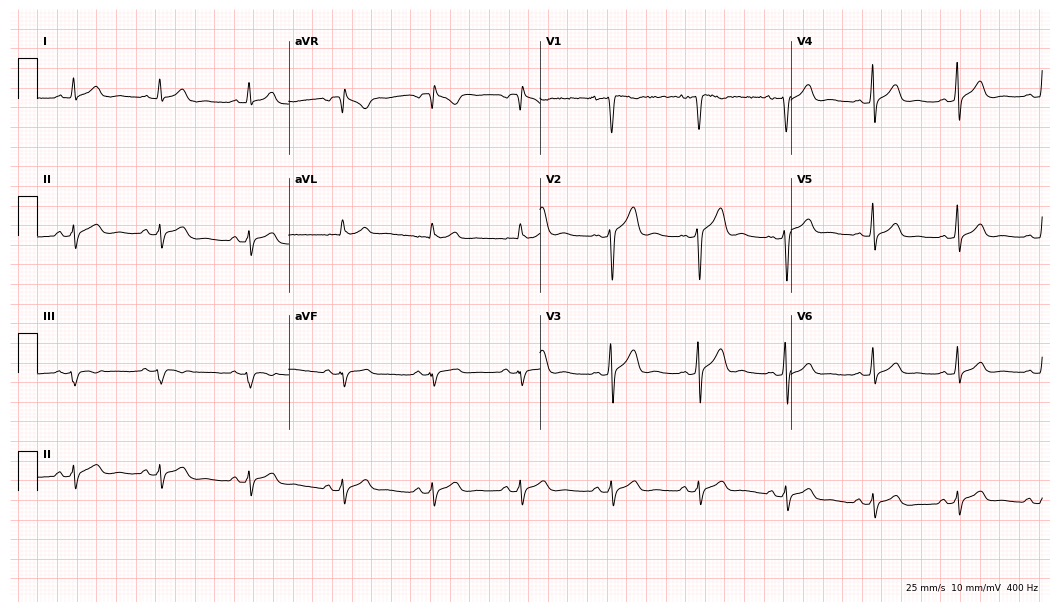
12-lead ECG (10.2-second recording at 400 Hz) from a 25-year-old man. Labelled as a normal ECG.